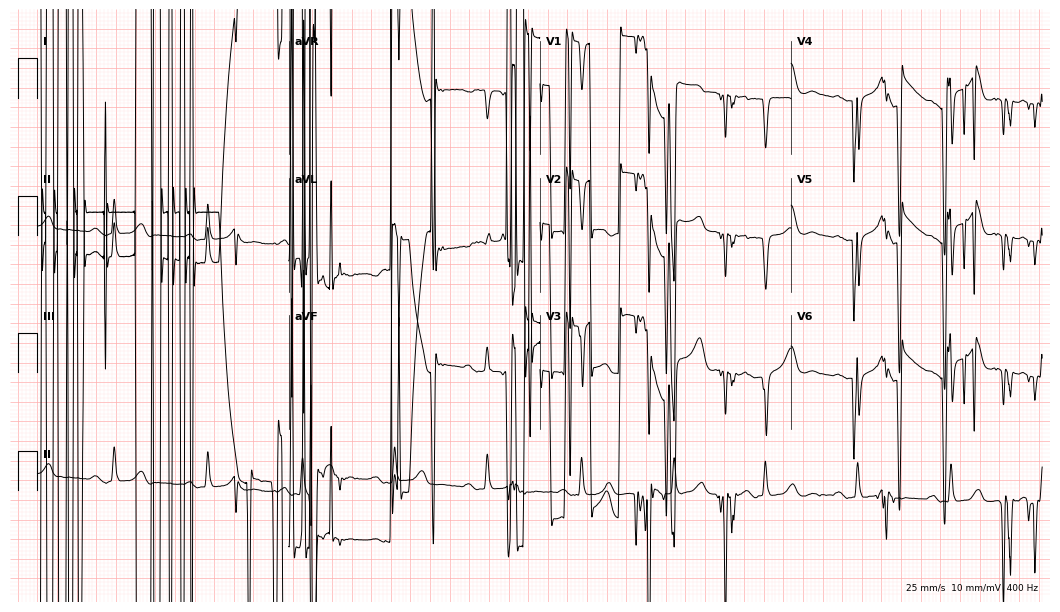
Resting 12-lead electrocardiogram (10.2-second recording at 400 Hz). Patient: a 74-year-old man. None of these six findings is recorded: first-degree AV block, right bundle branch block, left bundle branch block, sinus bradycardia, atrial fibrillation, sinus tachycardia. Only these six findings were labelled.